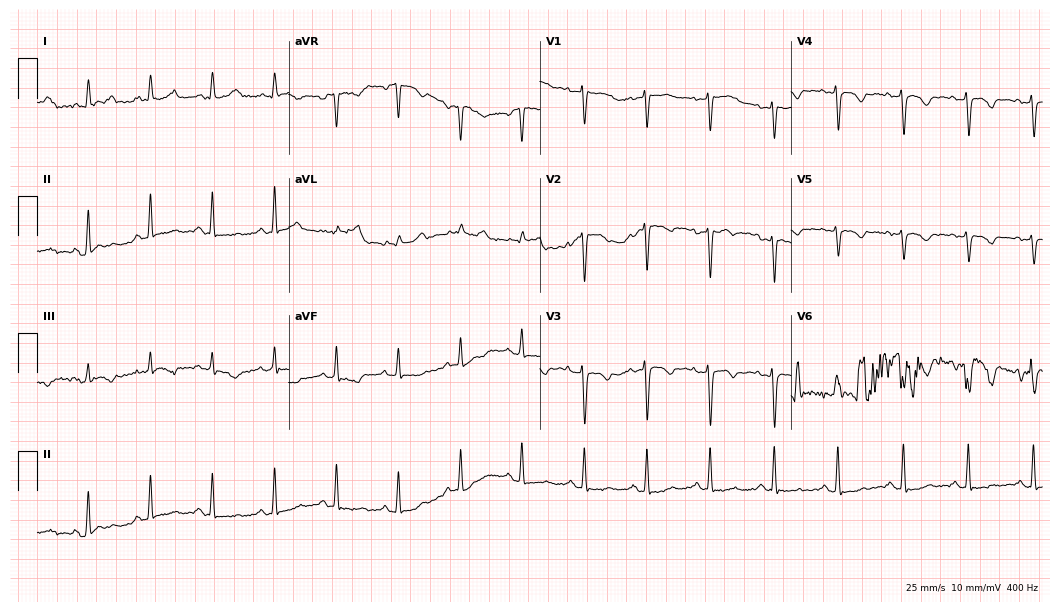
Electrocardiogram (10.2-second recording at 400 Hz), a 24-year-old female patient. Overall reading on record: normal ECG.